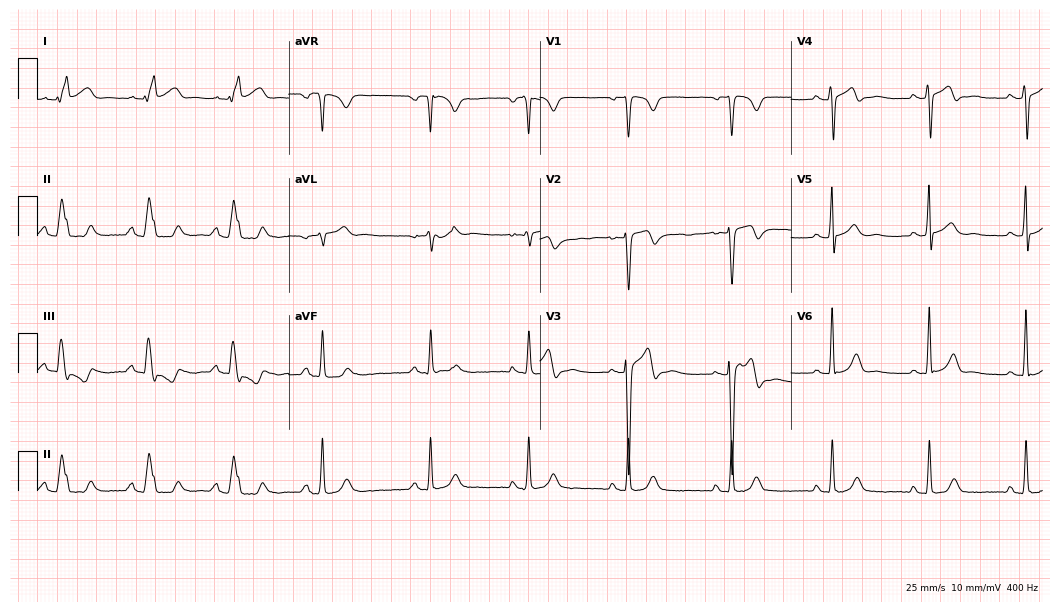
ECG — a 28-year-old male. Screened for six findings — first-degree AV block, right bundle branch block, left bundle branch block, sinus bradycardia, atrial fibrillation, sinus tachycardia — none is recorded. Other findings, if any, are not listed.